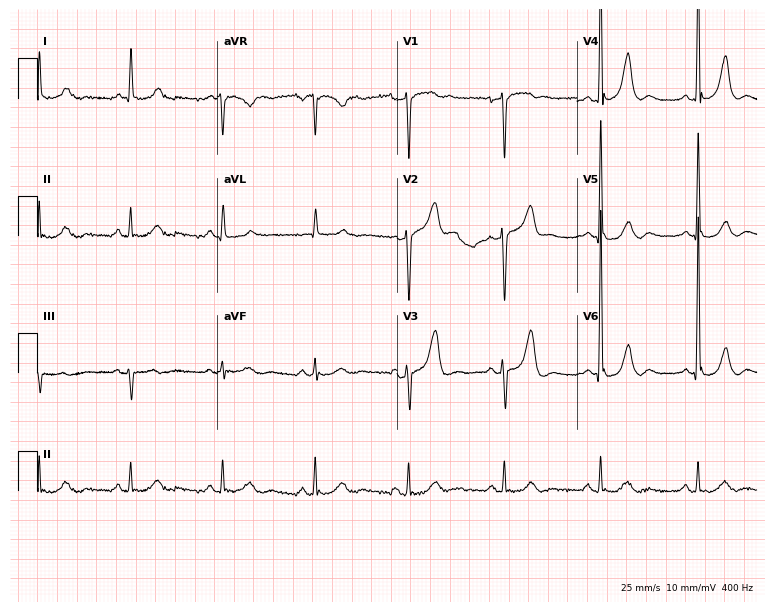
ECG — a 70-year-old male patient. Screened for six findings — first-degree AV block, right bundle branch block, left bundle branch block, sinus bradycardia, atrial fibrillation, sinus tachycardia — none is recorded.